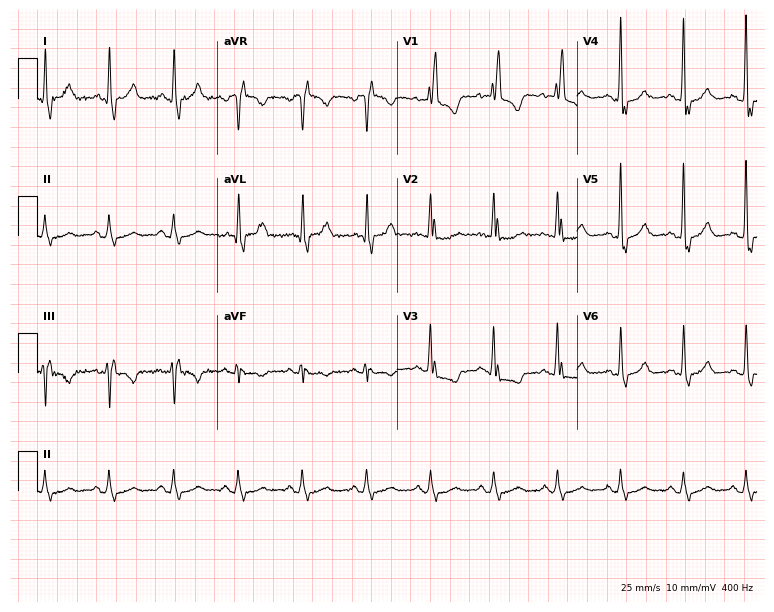
12-lead ECG from a female, 74 years old (7.3-second recording at 400 Hz). Shows right bundle branch block (RBBB).